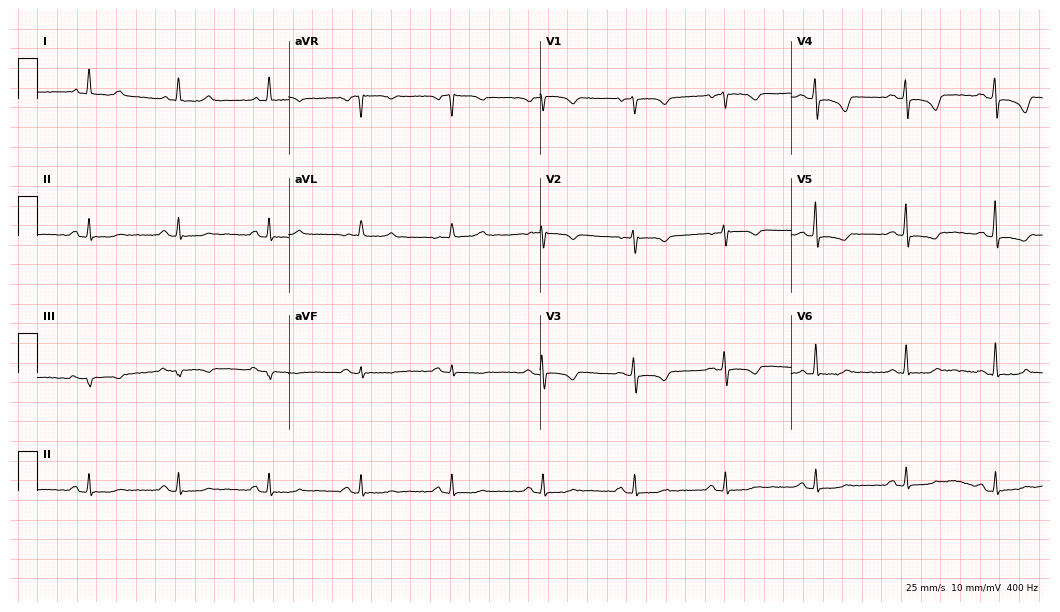
Resting 12-lead electrocardiogram. Patient: a woman, 63 years old. Read as a normal ECG.